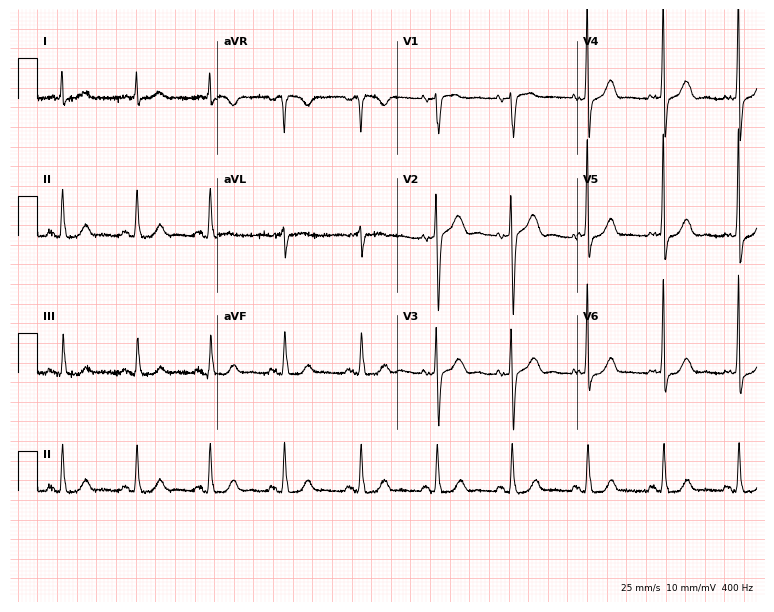
Standard 12-lead ECG recorded from a female, 83 years old. Read as a normal ECG.